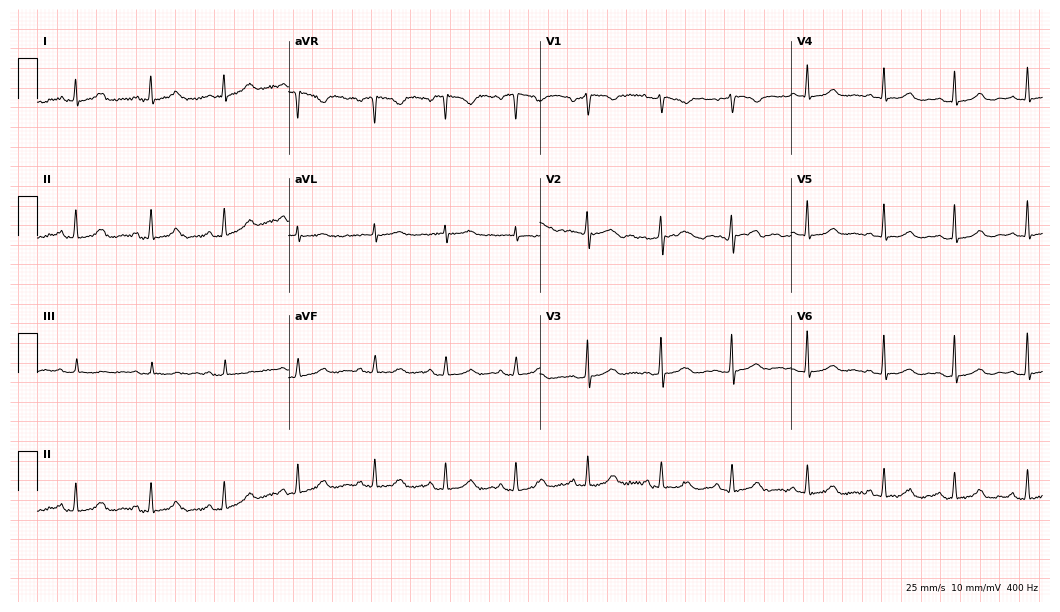
Resting 12-lead electrocardiogram (10.2-second recording at 400 Hz). Patient: a 42-year-old female. Read as a normal ECG.